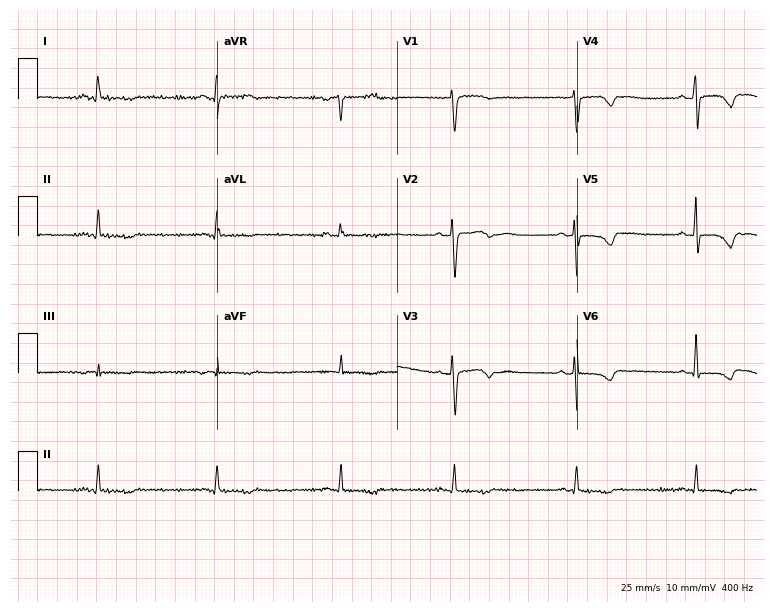
12-lead ECG (7.3-second recording at 400 Hz) from a female patient, 52 years old. Findings include sinus bradycardia (a sinus rate of 50 beats per minute or less).